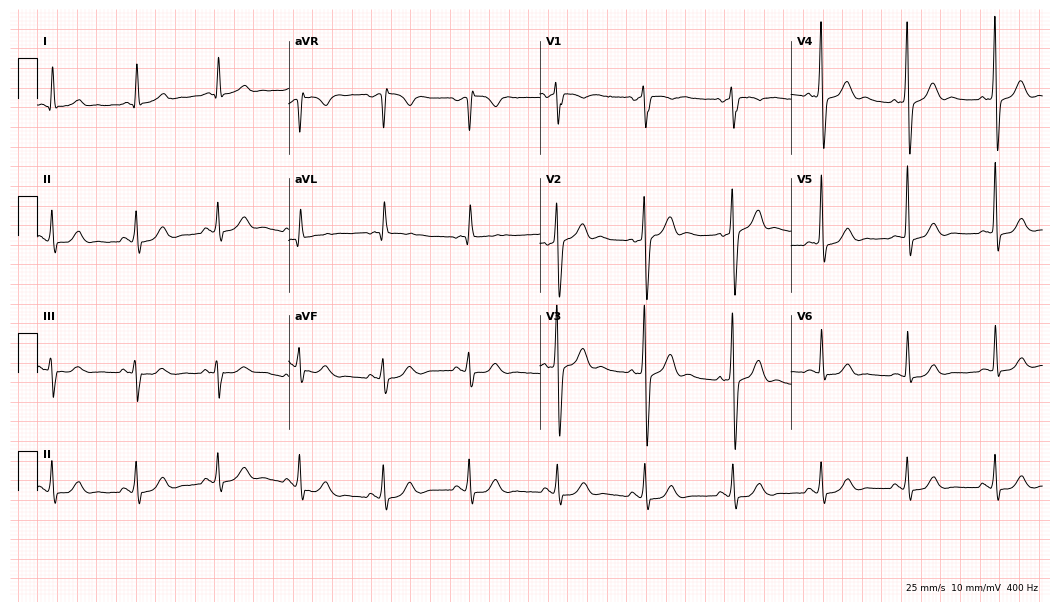
Electrocardiogram (10.2-second recording at 400 Hz), a 51-year-old male. Of the six screened findings (first-degree AV block, right bundle branch block, left bundle branch block, sinus bradycardia, atrial fibrillation, sinus tachycardia), none is recorded. Findings outside these six are not listed.